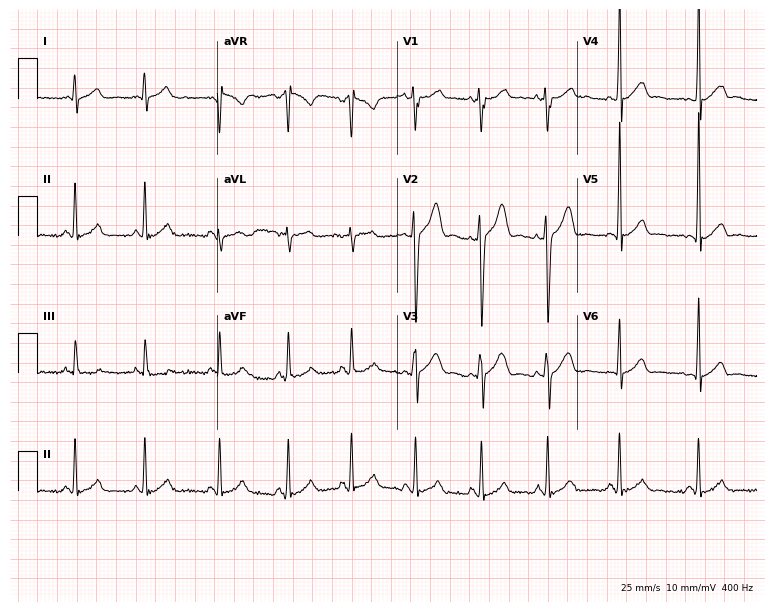
12-lead ECG from a man, 18 years old. Screened for six findings — first-degree AV block, right bundle branch block, left bundle branch block, sinus bradycardia, atrial fibrillation, sinus tachycardia — none is recorded.